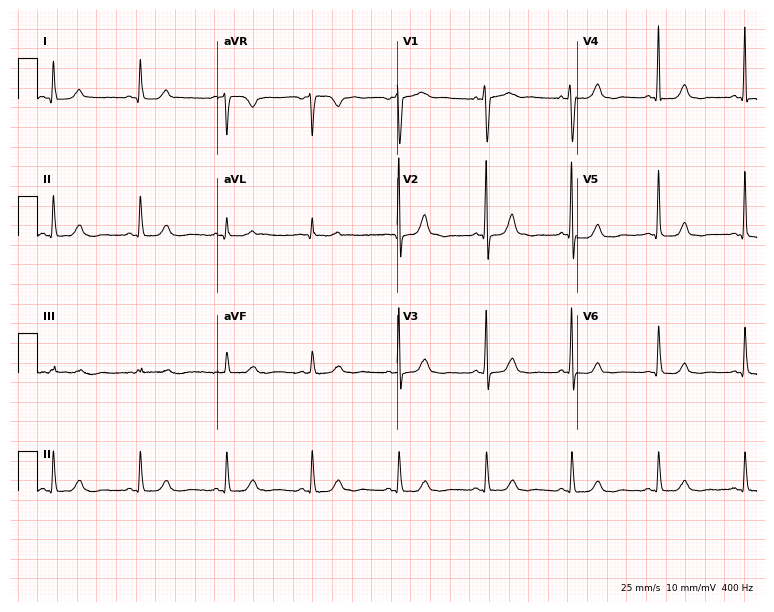
Electrocardiogram (7.3-second recording at 400 Hz), an 80-year-old female patient. Overall reading on record: normal ECG.